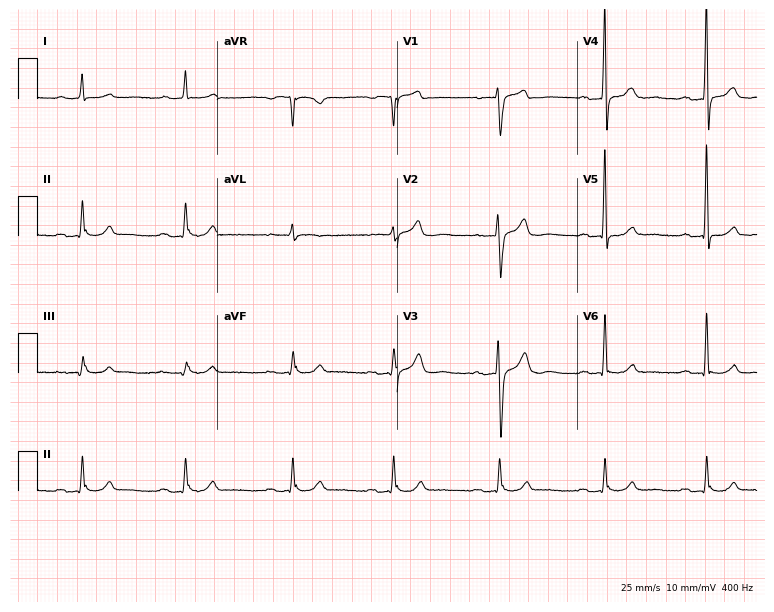
12-lead ECG (7.3-second recording at 400 Hz) from a male, 65 years old. Screened for six findings — first-degree AV block, right bundle branch block, left bundle branch block, sinus bradycardia, atrial fibrillation, sinus tachycardia — none is recorded. Findings outside these six are not listed.